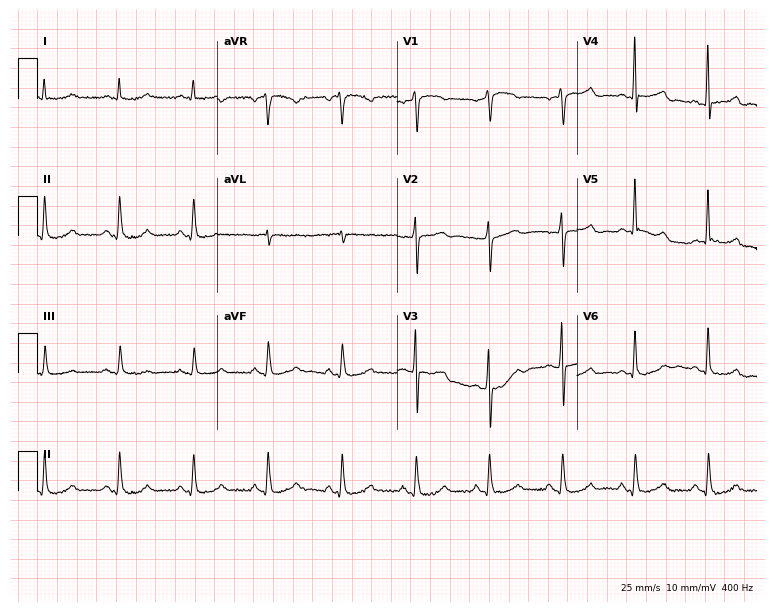
12-lead ECG (7.3-second recording at 400 Hz) from a man, 70 years old. Labelled as a normal ECG.